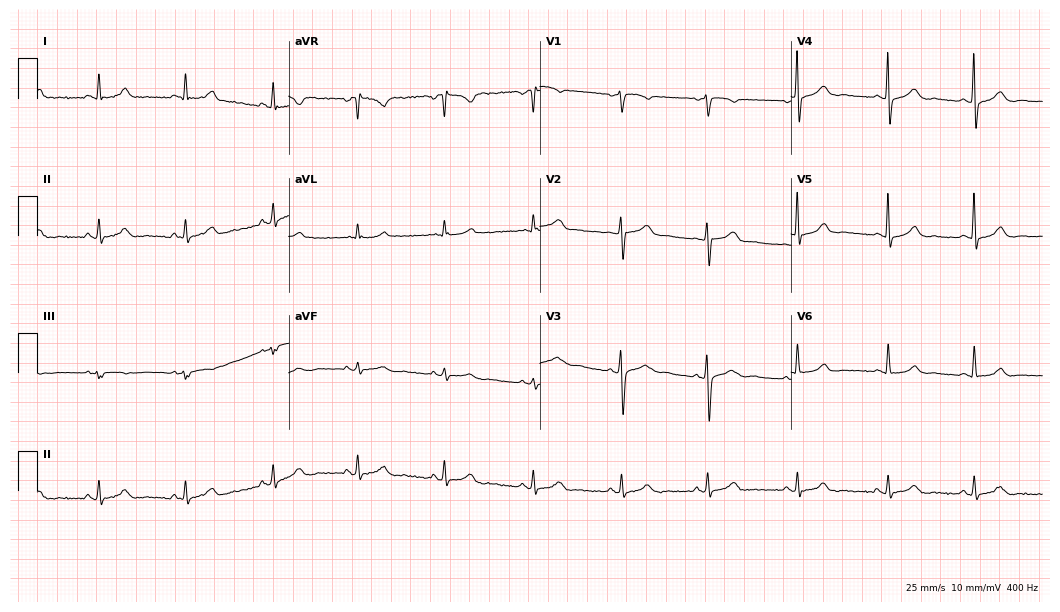
Resting 12-lead electrocardiogram (10.2-second recording at 400 Hz). Patient: a woman, 66 years old. Read as a normal ECG.